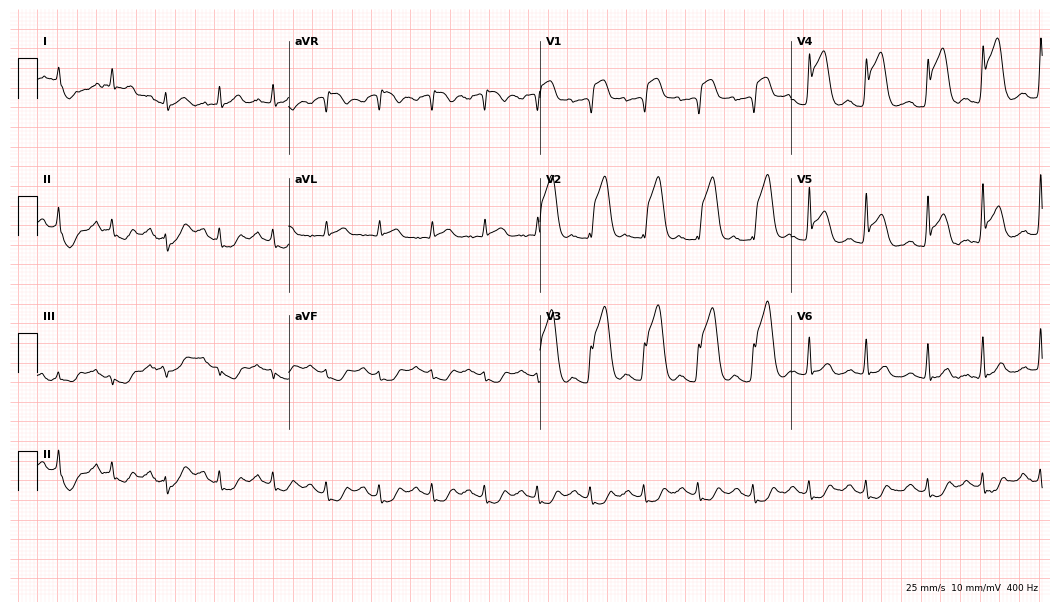
Resting 12-lead electrocardiogram (10.2-second recording at 400 Hz). Patient: a 57-year-old man. None of these six findings is recorded: first-degree AV block, right bundle branch block, left bundle branch block, sinus bradycardia, atrial fibrillation, sinus tachycardia. Other findings, if any, are not listed.